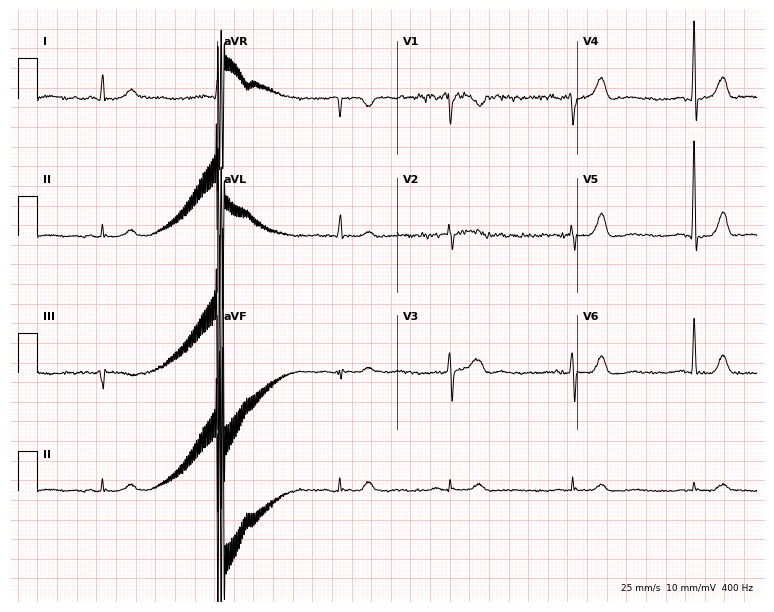
ECG — a 78-year-old male. Screened for six findings — first-degree AV block, right bundle branch block, left bundle branch block, sinus bradycardia, atrial fibrillation, sinus tachycardia — none is recorded. Findings outside these six are not listed.